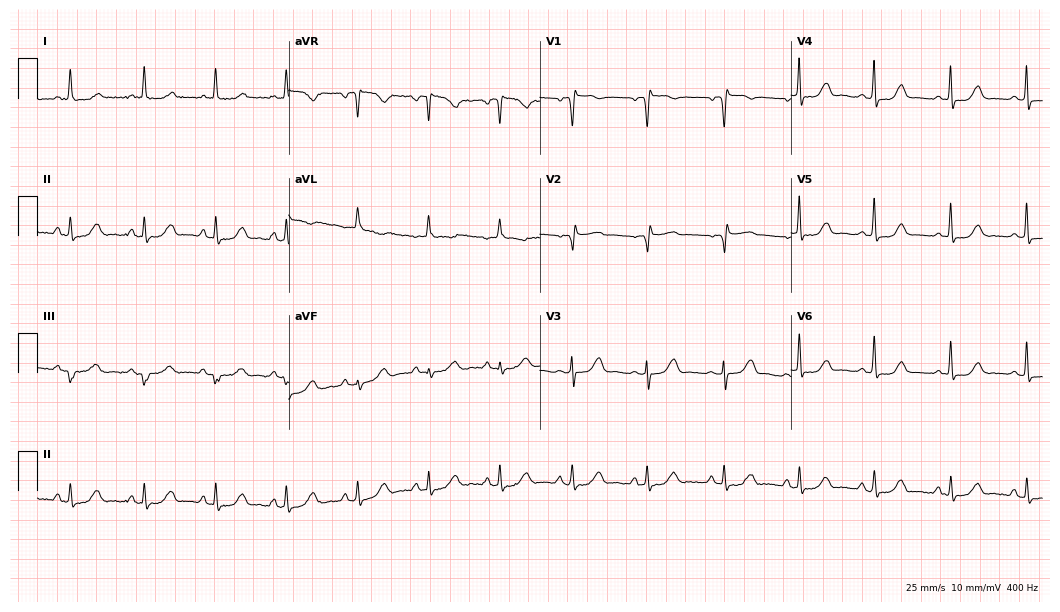
ECG (10.2-second recording at 400 Hz) — a woman, 60 years old. Screened for six findings — first-degree AV block, right bundle branch block, left bundle branch block, sinus bradycardia, atrial fibrillation, sinus tachycardia — none is recorded.